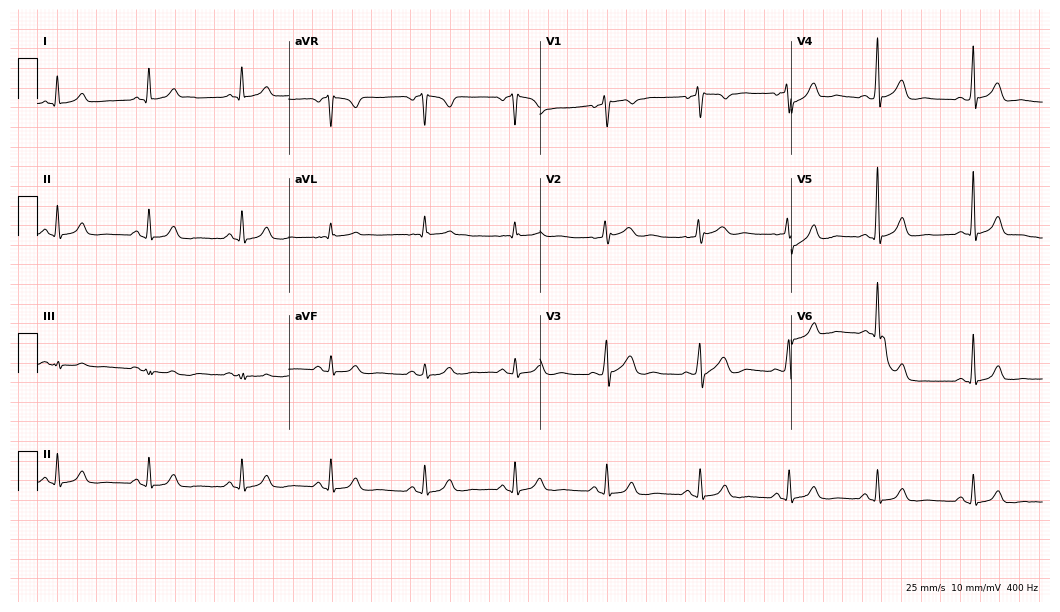
Standard 12-lead ECG recorded from a male, 56 years old. Read as a normal ECG.